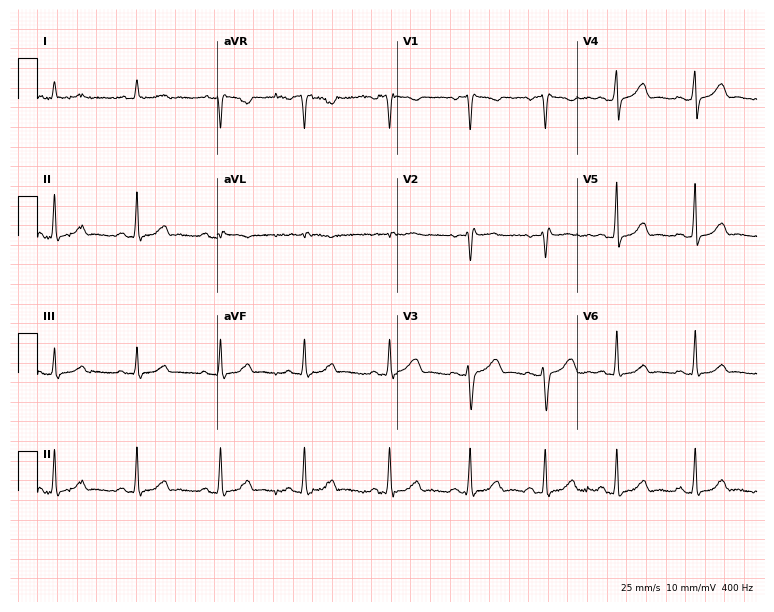
ECG — a 26-year-old woman. Labelled as a normal ECG.